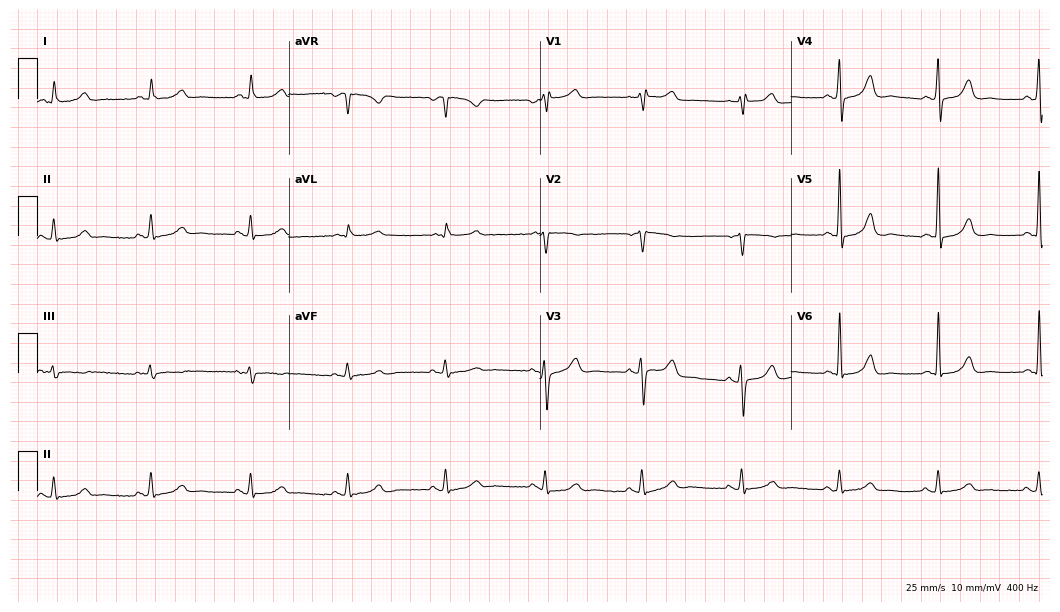
ECG (10.2-second recording at 400 Hz) — a female, 70 years old. Screened for six findings — first-degree AV block, right bundle branch block, left bundle branch block, sinus bradycardia, atrial fibrillation, sinus tachycardia — none is recorded. Only these six findings were labelled.